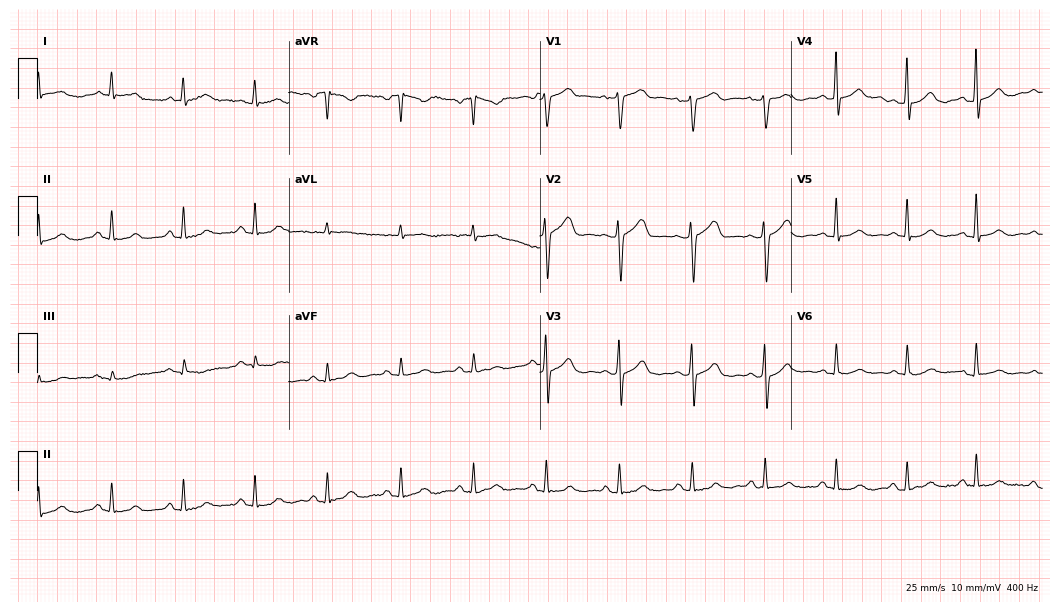
Standard 12-lead ECG recorded from a 74-year-old woman. None of these six findings is recorded: first-degree AV block, right bundle branch block, left bundle branch block, sinus bradycardia, atrial fibrillation, sinus tachycardia. Other findings, if any, are not listed.